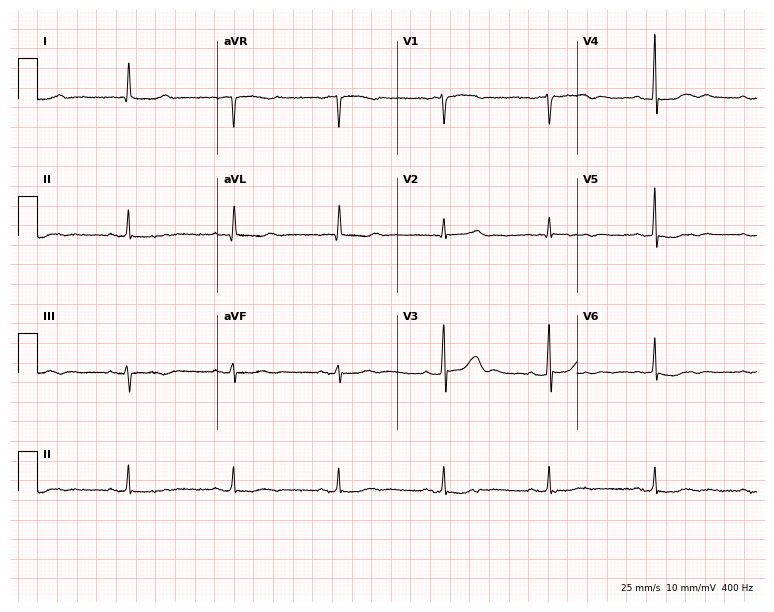
Standard 12-lead ECG recorded from an 84-year-old male patient. None of these six findings is recorded: first-degree AV block, right bundle branch block, left bundle branch block, sinus bradycardia, atrial fibrillation, sinus tachycardia.